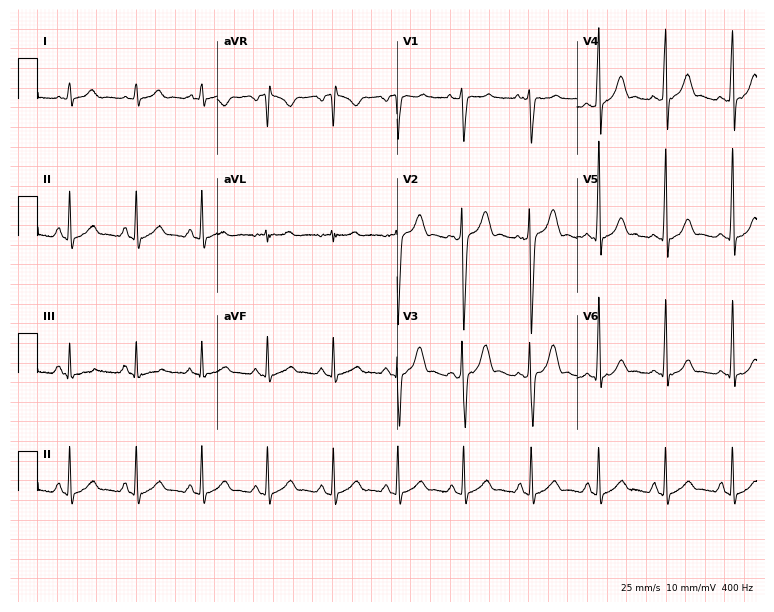
Standard 12-lead ECG recorded from a man, 21 years old. Read as a normal ECG.